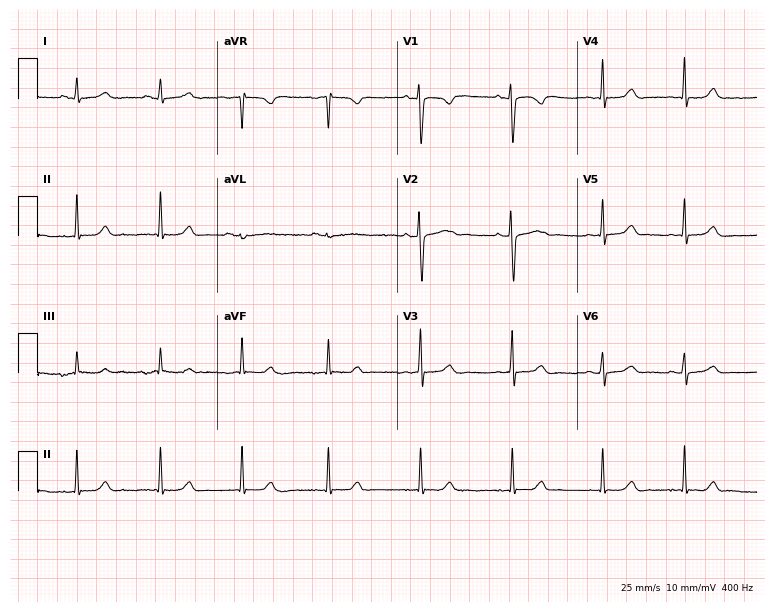
12-lead ECG (7.3-second recording at 400 Hz) from a woman, 17 years old. Screened for six findings — first-degree AV block, right bundle branch block (RBBB), left bundle branch block (LBBB), sinus bradycardia, atrial fibrillation (AF), sinus tachycardia — none is recorded.